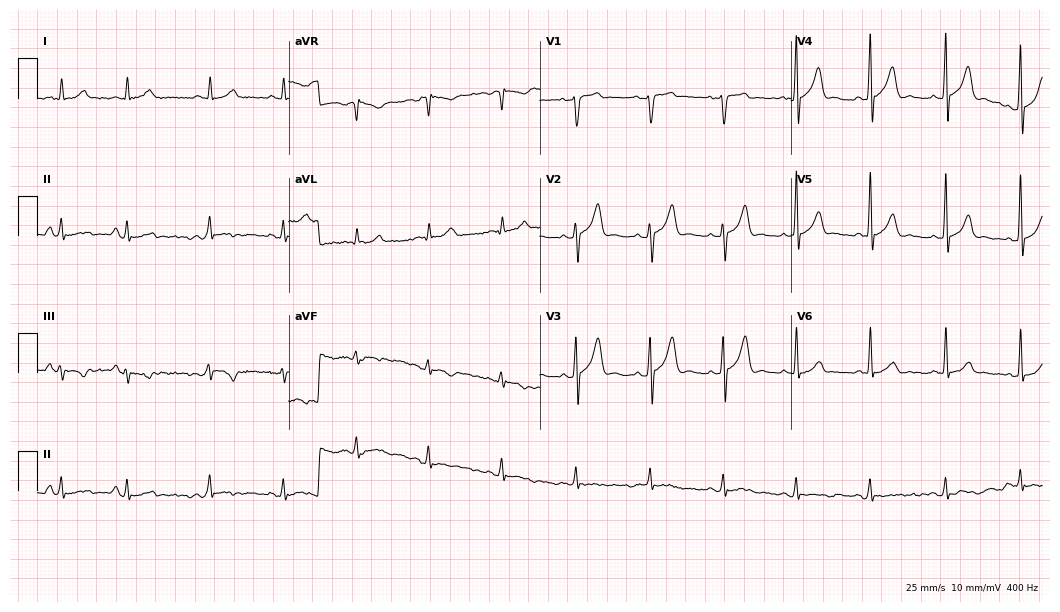
Electrocardiogram (10.2-second recording at 400 Hz), a 38-year-old man. Overall reading on record: normal ECG.